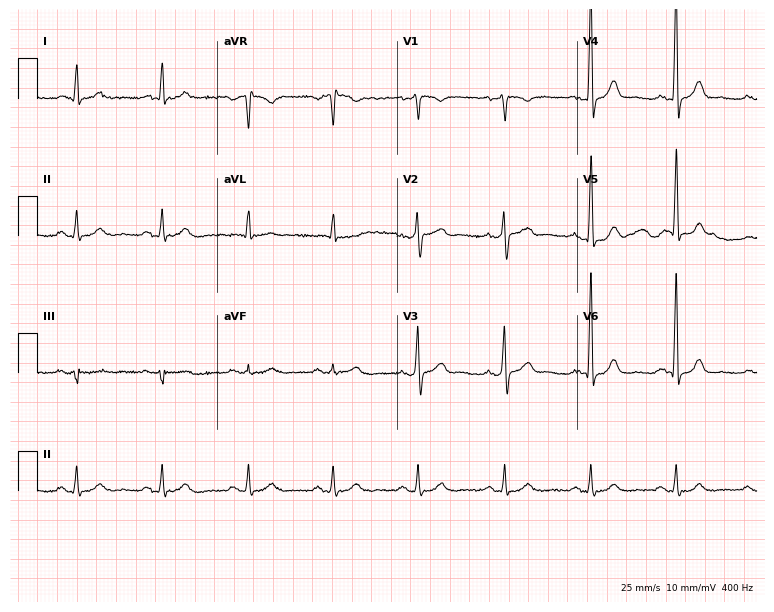
12-lead ECG from a 65-year-old male patient. Screened for six findings — first-degree AV block, right bundle branch block, left bundle branch block, sinus bradycardia, atrial fibrillation, sinus tachycardia — none is recorded. Only these six findings were labelled.